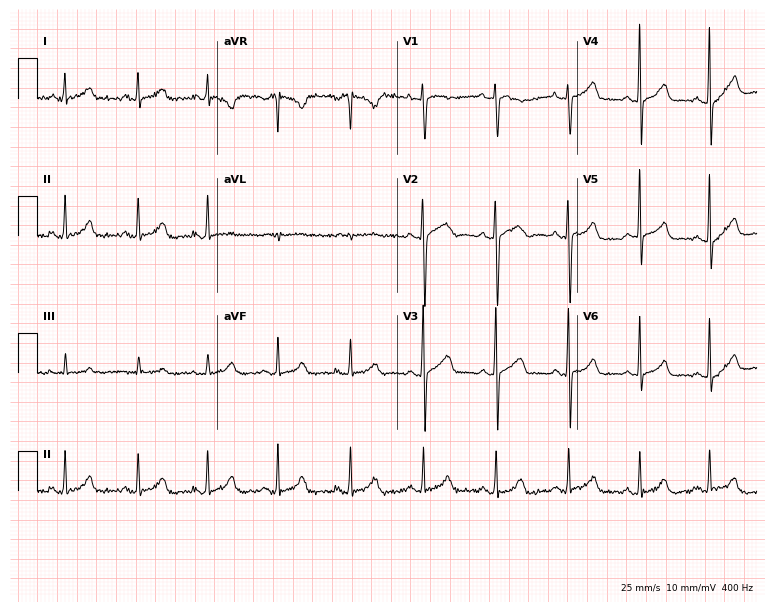
12-lead ECG from a female patient, 44 years old. No first-degree AV block, right bundle branch block, left bundle branch block, sinus bradycardia, atrial fibrillation or sinus tachycardia recorded for this tracing.